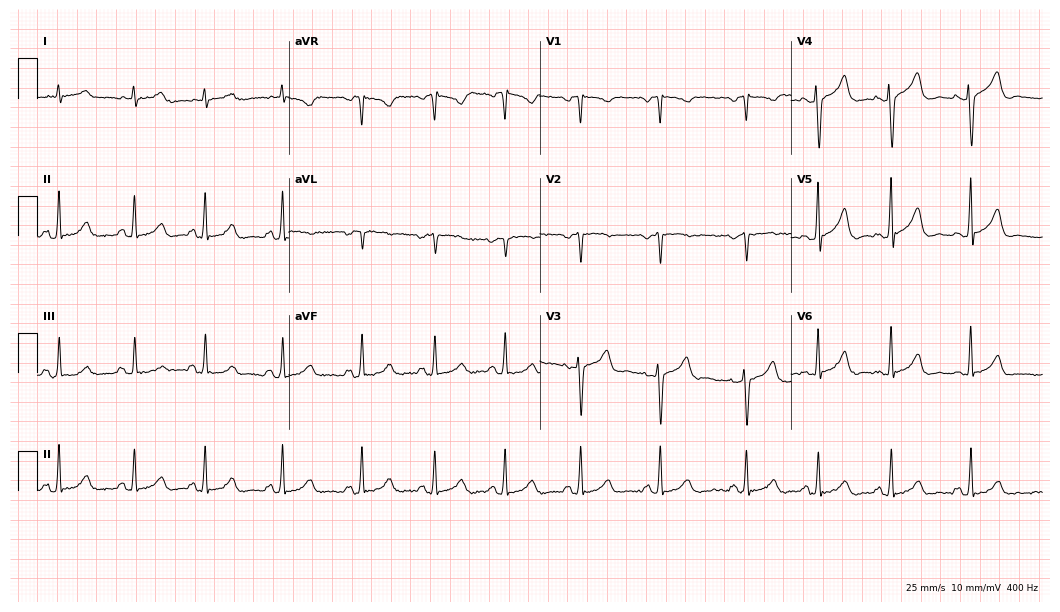
12-lead ECG from a female, 38 years old. Labelled as a normal ECG.